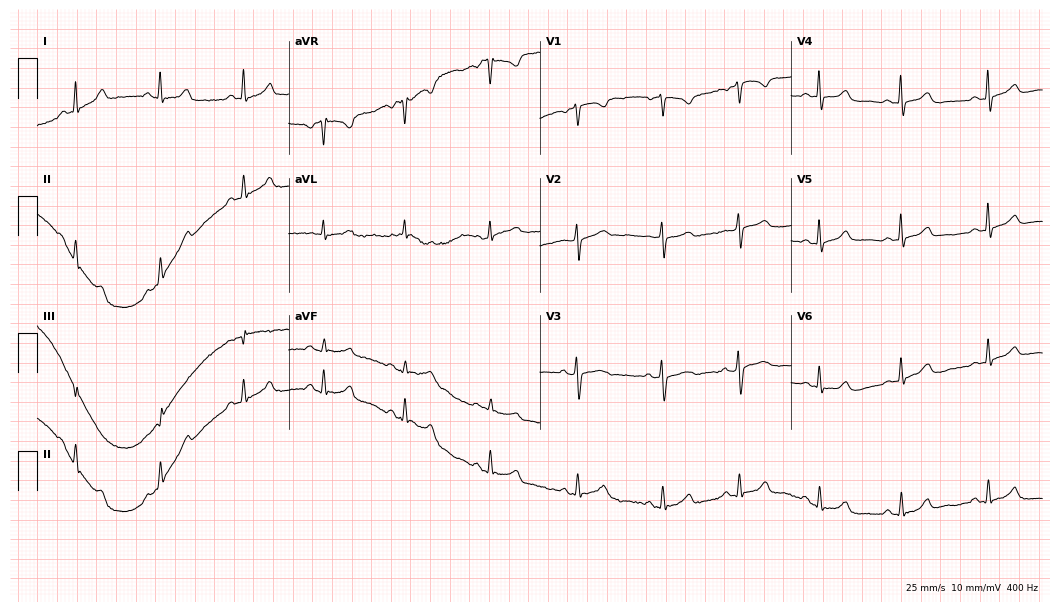
12-lead ECG from a 44-year-old woman. Recorded interpretation: within normal limits.